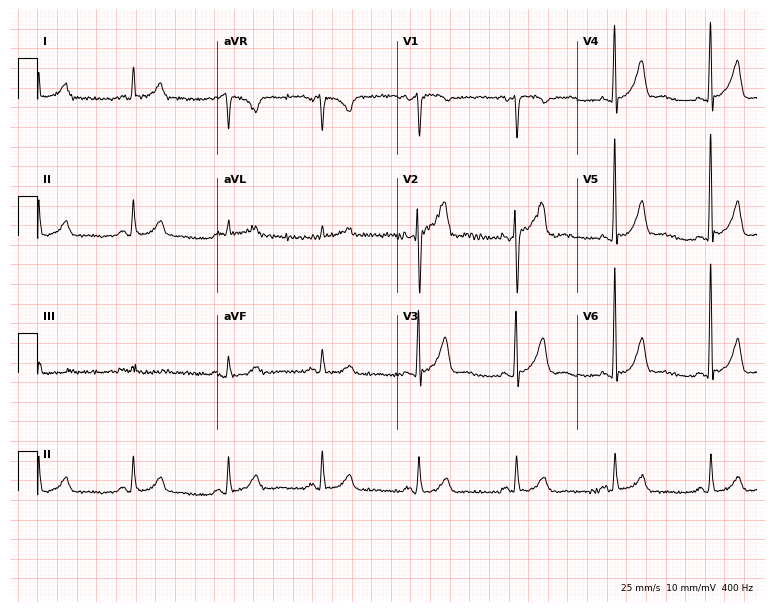
Electrocardiogram (7.3-second recording at 400 Hz), a male, 63 years old. Overall reading on record: normal ECG.